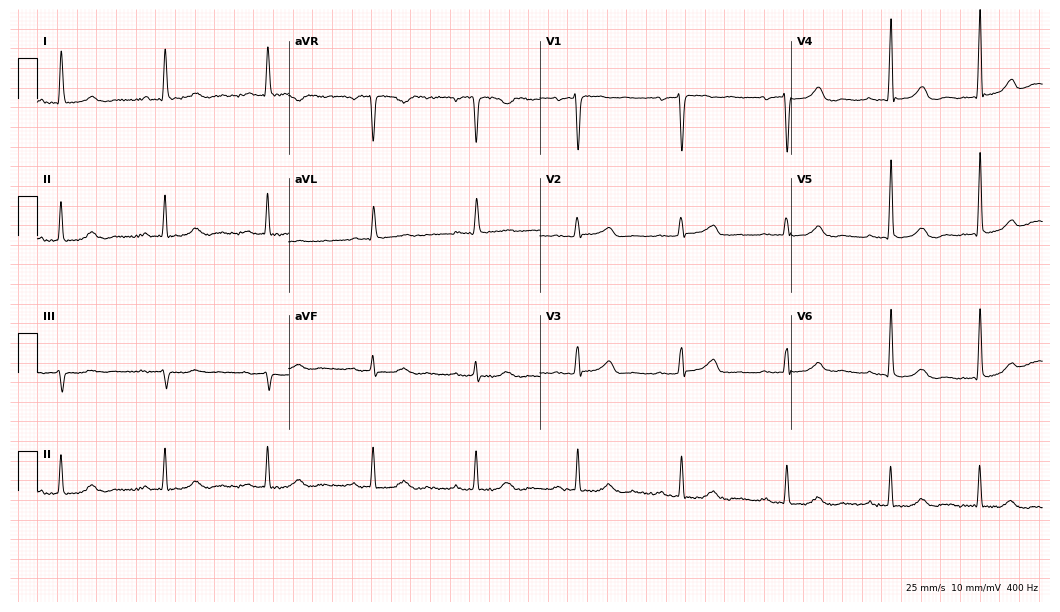
12-lead ECG (10.2-second recording at 400 Hz) from a woman, 65 years old. Findings include first-degree AV block.